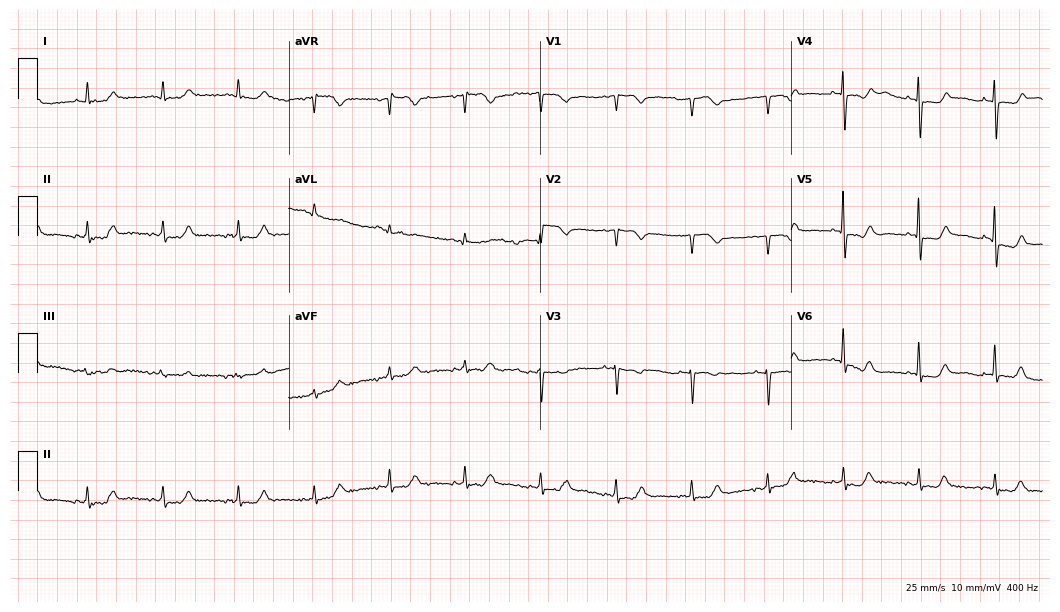
Standard 12-lead ECG recorded from a woman, 81 years old. Read as a normal ECG.